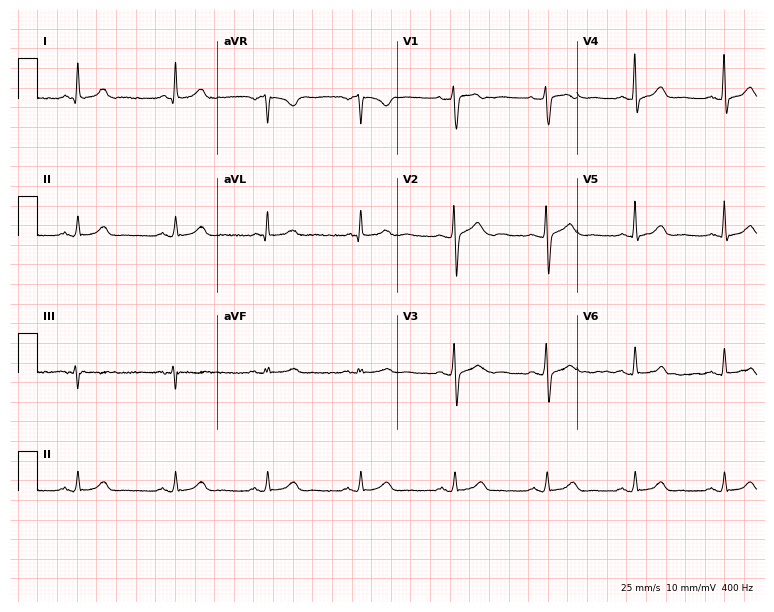
Resting 12-lead electrocardiogram (7.3-second recording at 400 Hz). Patient: a woman, 43 years old. Read as a normal ECG.